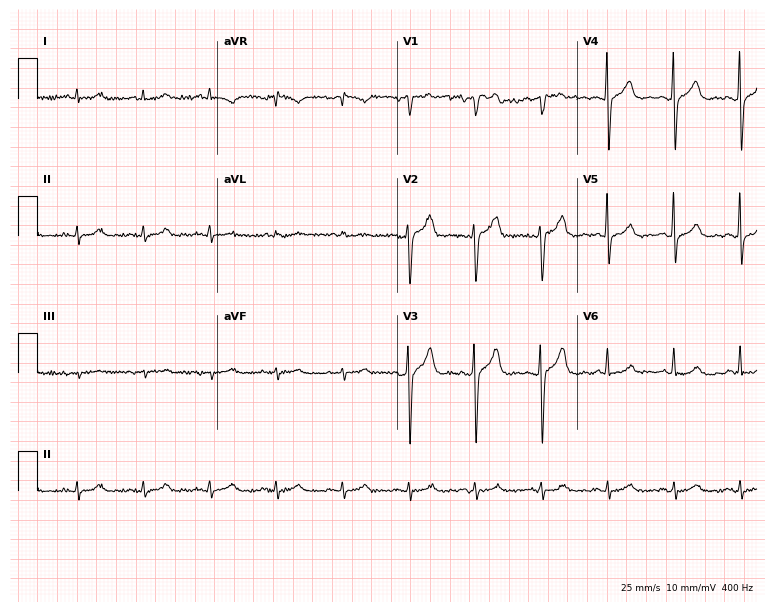
12-lead ECG from a male, 68 years old. Recorded interpretation: within normal limits.